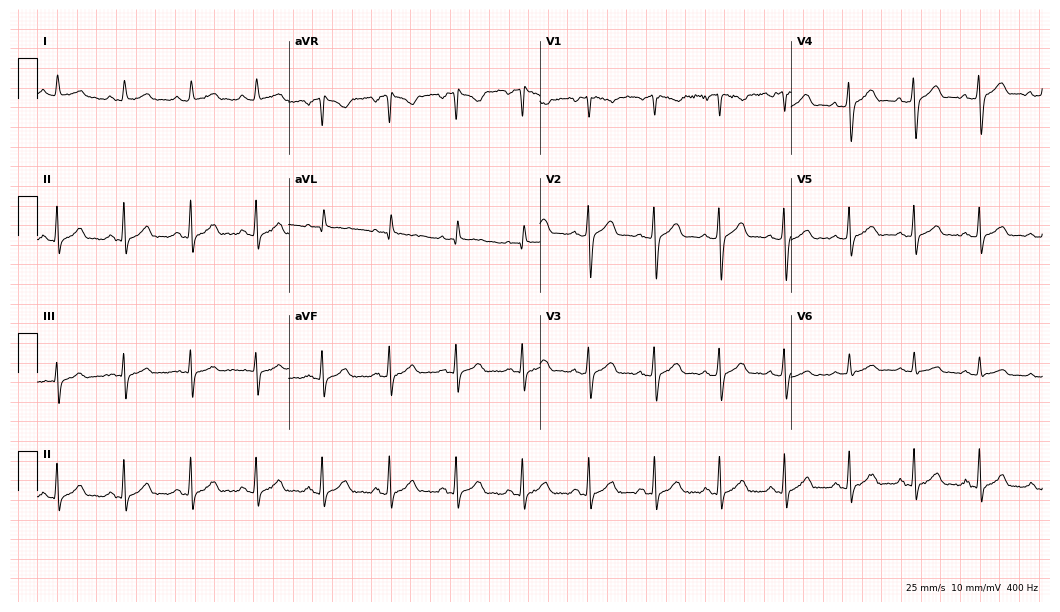
Electrocardiogram (10.2-second recording at 400 Hz), a 40-year-old male patient. Of the six screened findings (first-degree AV block, right bundle branch block (RBBB), left bundle branch block (LBBB), sinus bradycardia, atrial fibrillation (AF), sinus tachycardia), none is recorded.